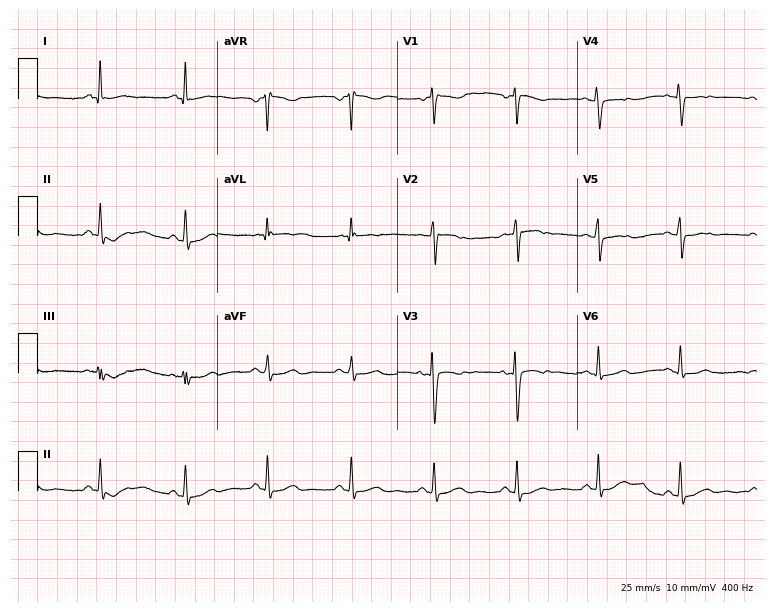
12-lead ECG from a 47-year-old female patient (7.3-second recording at 400 Hz). No first-degree AV block, right bundle branch block, left bundle branch block, sinus bradycardia, atrial fibrillation or sinus tachycardia recorded for this tracing.